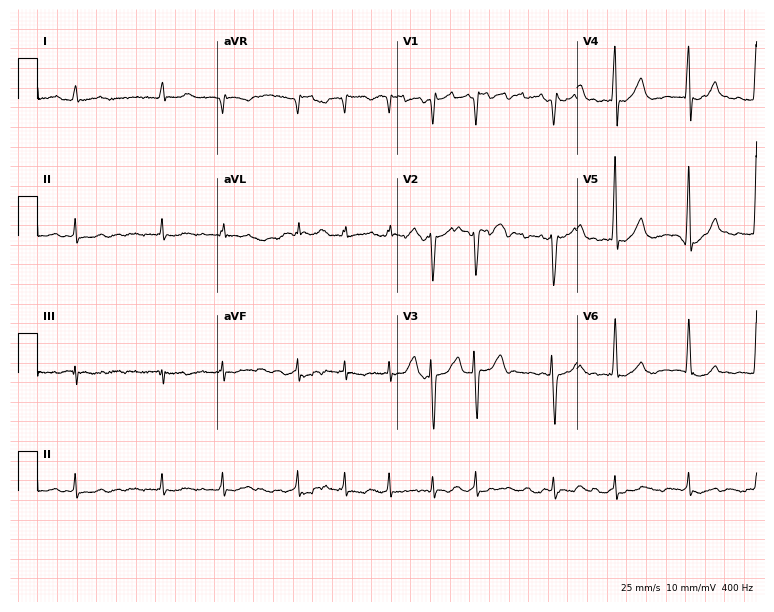
ECG — a male, 83 years old. Findings include atrial fibrillation.